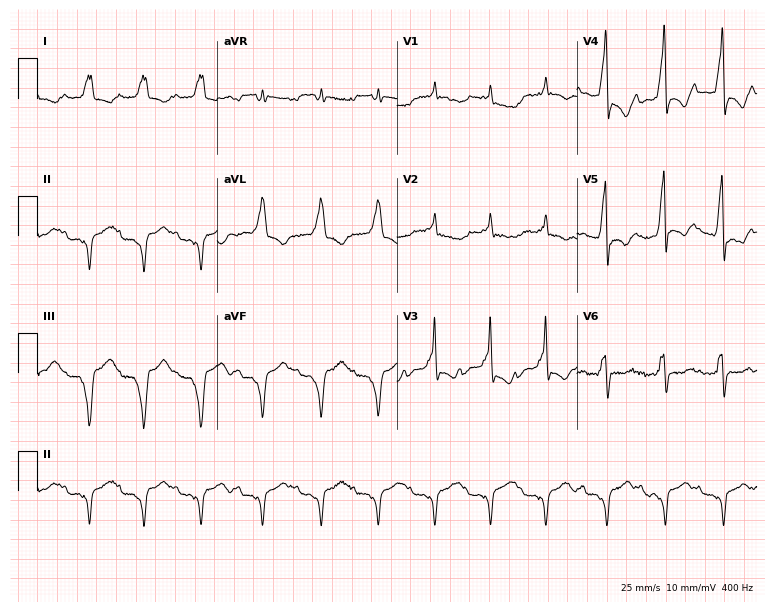
ECG (7.3-second recording at 400 Hz) — a woman, 48 years old. Findings include first-degree AV block.